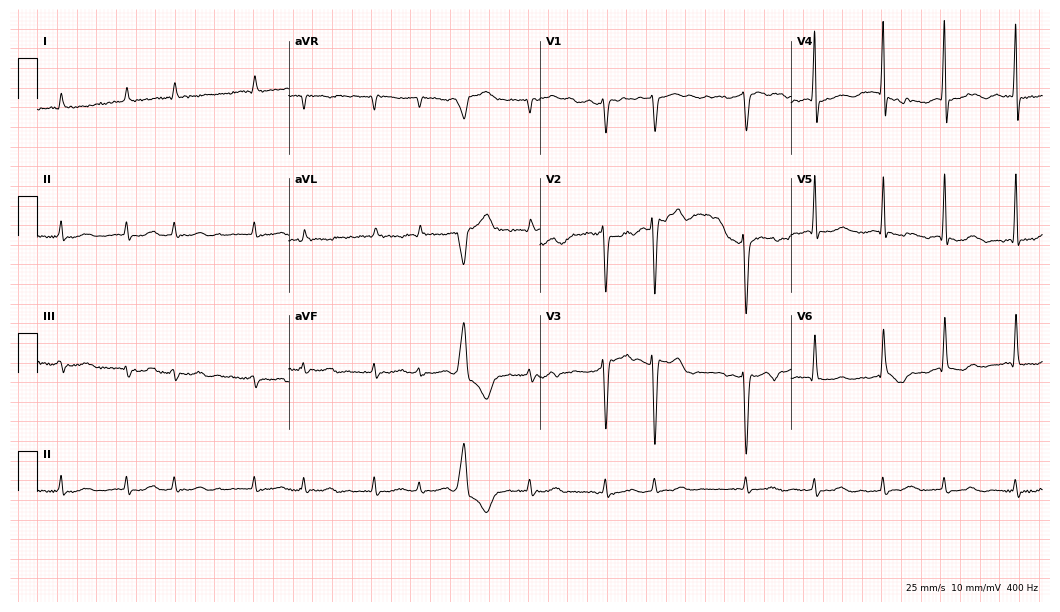
Standard 12-lead ECG recorded from a male, 80 years old. The tracing shows atrial fibrillation.